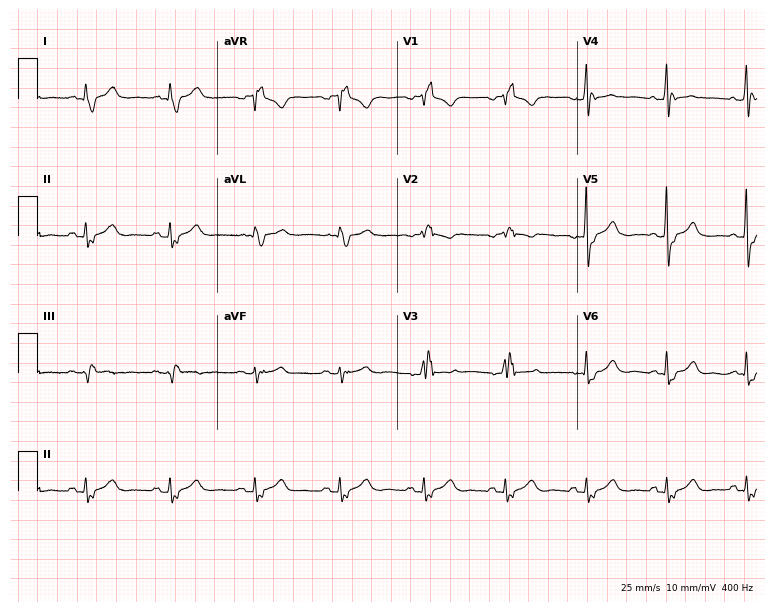
Resting 12-lead electrocardiogram (7.3-second recording at 400 Hz). Patient: a 52-year-old female. The tracing shows right bundle branch block (RBBB).